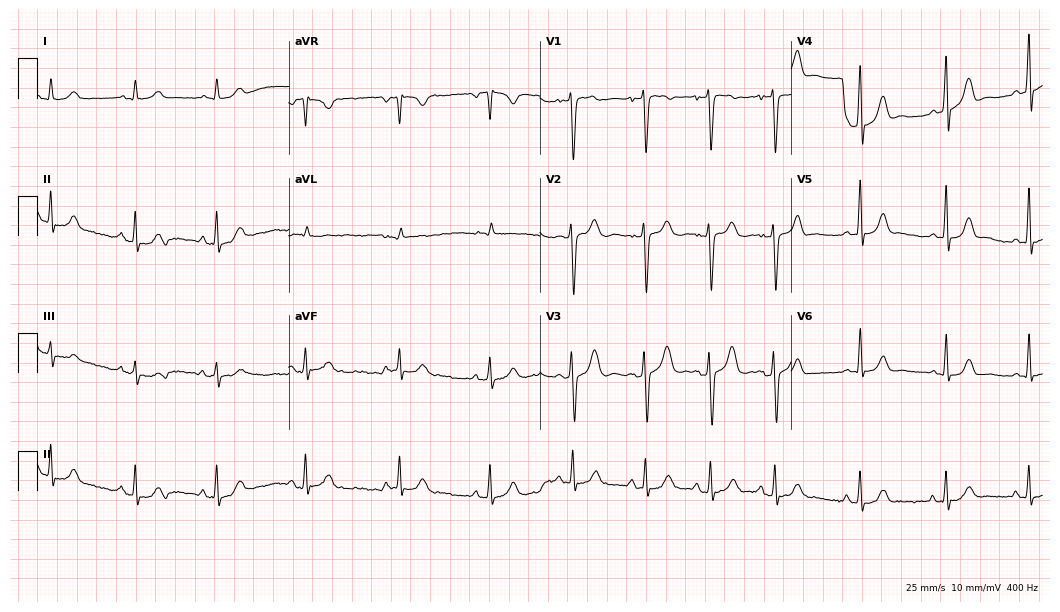
12-lead ECG (10.2-second recording at 400 Hz) from a male patient, 20 years old. Labelled as a normal ECG.